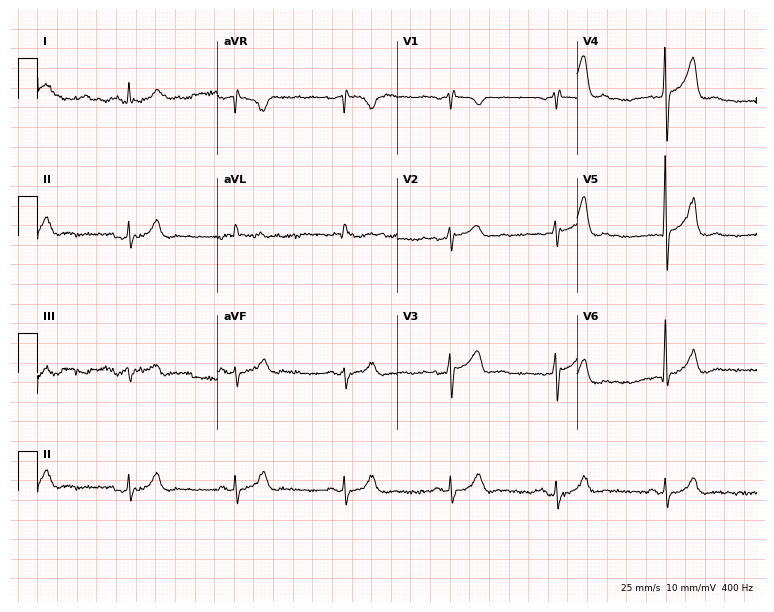
12-lead ECG from a male, 60 years old. Labelled as a normal ECG.